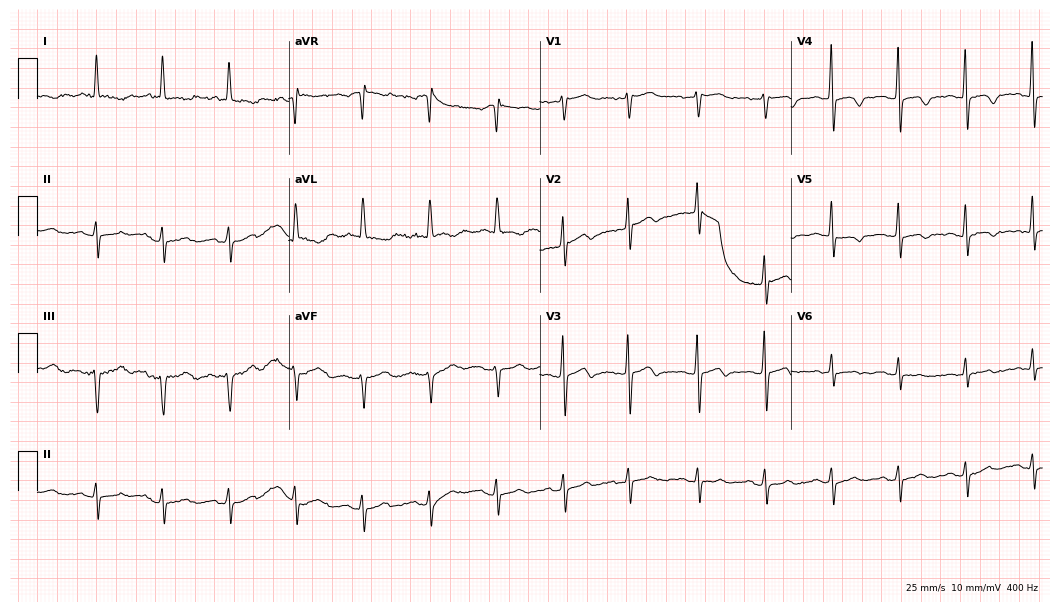
ECG — a female patient, 74 years old. Screened for six findings — first-degree AV block, right bundle branch block, left bundle branch block, sinus bradycardia, atrial fibrillation, sinus tachycardia — none is recorded.